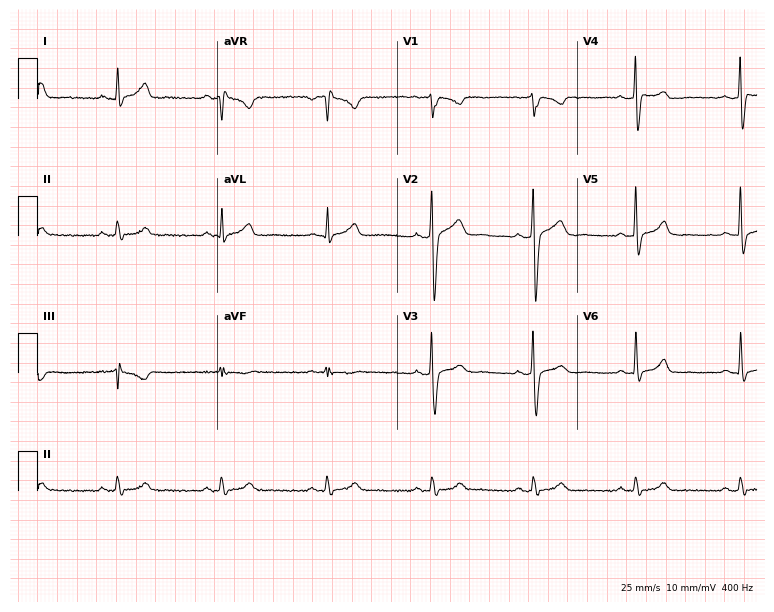
Resting 12-lead electrocardiogram (7.3-second recording at 400 Hz). Patient: a 47-year-old male. Read as a normal ECG.